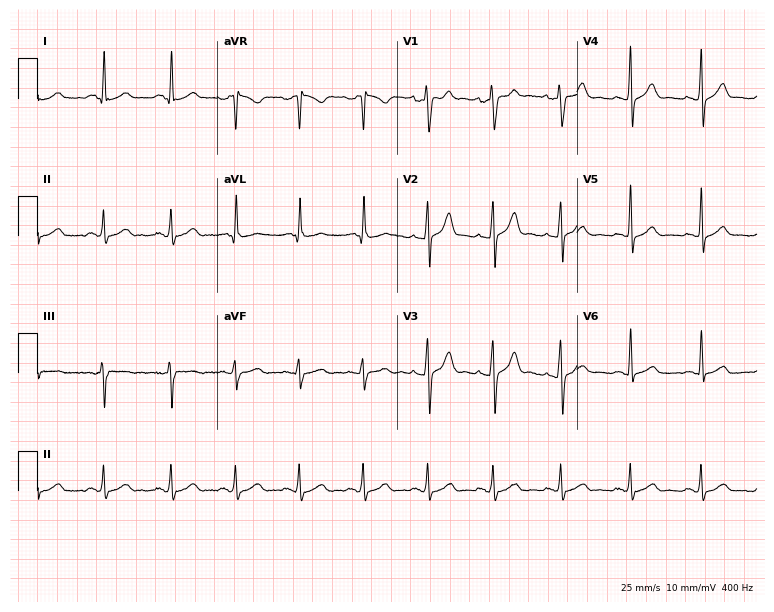
ECG (7.3-second recording at 400 Hz) — a 39-year-old male patient. Screened for six findings — first-degree AV block, right bundle branch block (RBBB), left bundle branch block (LBBB), sinus bradycardia, atrial fibrillation (AF), sinus tachycardia — none is recorded.